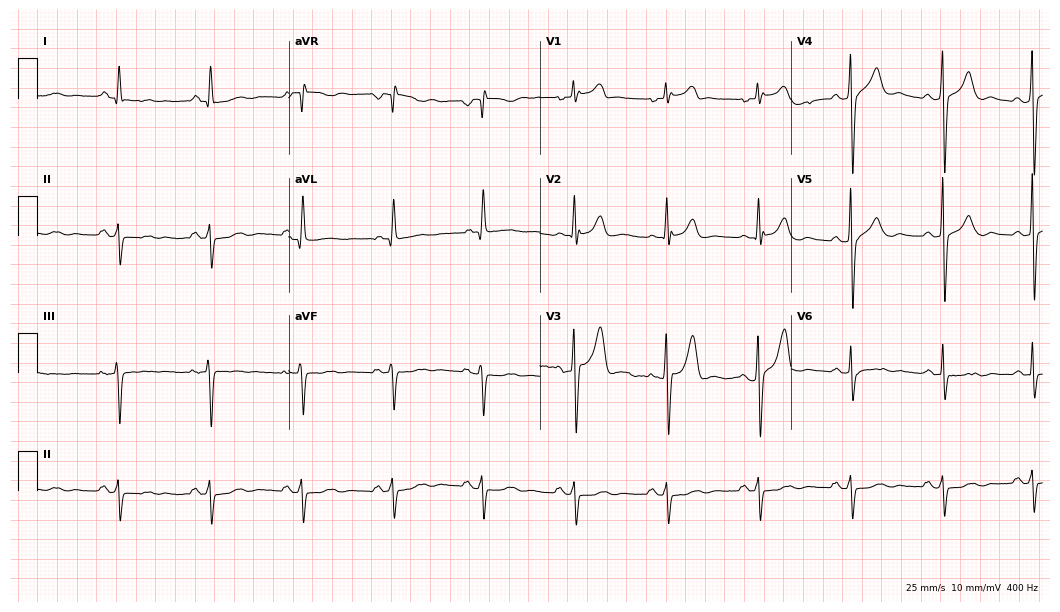
Standard 12-lead ECG recorded from a male patient, 58 years old. None of these six findings is recorded: first-degree AV block, right bundle branch block, left bundle branch block, sinus bradycardia, atrial fibrillation, sinus tachycardia. Other findings, if any, are not listed.